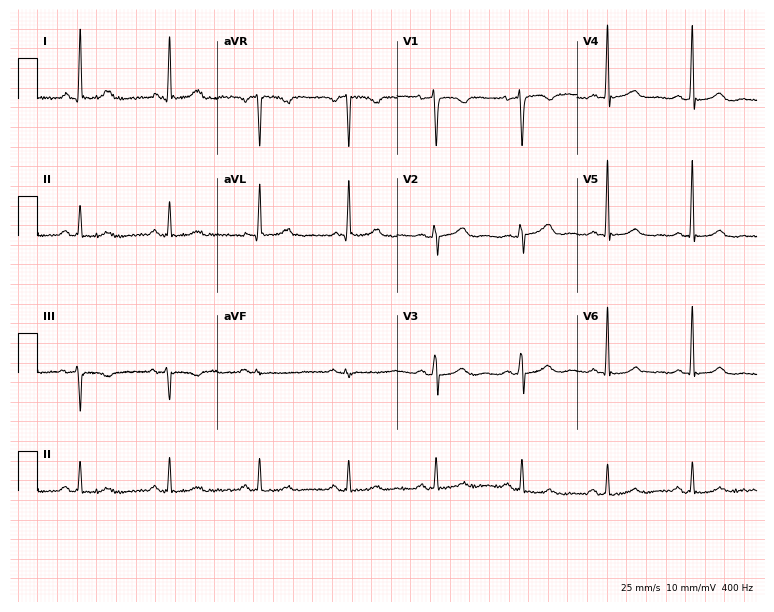
Standard 12-lead ECG recorded from a 61-year-old female (7.3-second recording at 400 Hz). None of these six findings is recorded: first-degree AV block, right bundle branch block (RBBB), left bundle branch block (LBBB), sinus bradycardia, atrial fibrillation (AF), sinus tachycardia.